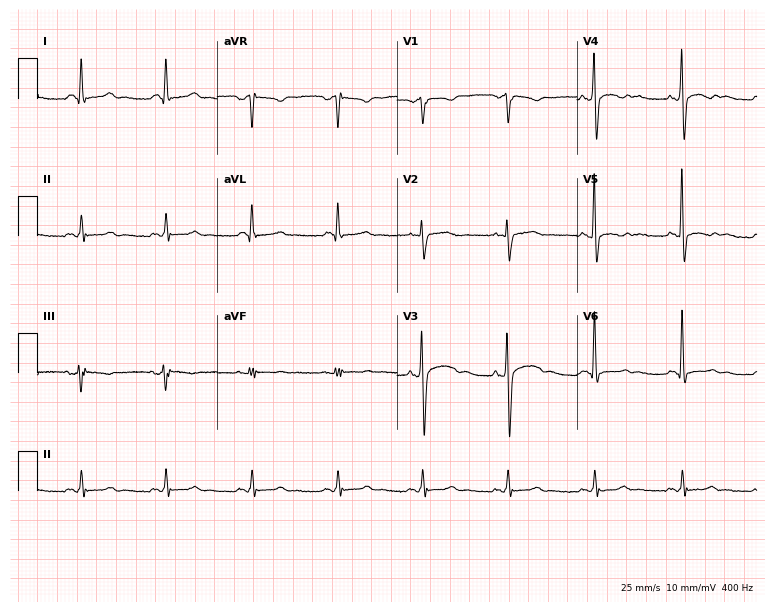
Standard 12-lead ECG recorded from a 43-year-old male (7.3-second recording at 400 Hz). None of these six findings is recorded: first-degree AV block, right bundle branch block (RBBB), left bundle branch block (LBBB), sinus bradycardia, atrial fibrillation (AF), sinus tachycardia. Only these six findings were labelled.